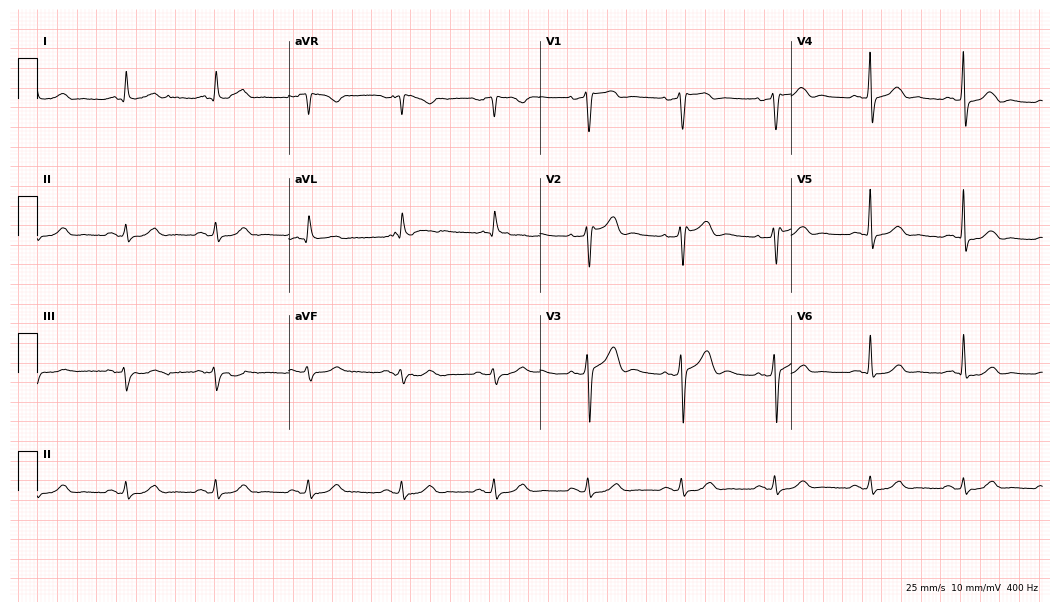
Resting 12-lead electrocardiogram (10.2-second recording at 400 Hz). Patient: a 65-year-old man. None of these six findings is recorded: first-degree AV block, right bundle branch block, left bundle branch block, sinus bradycardia, atrial fibrillation, sinus tachycardia.